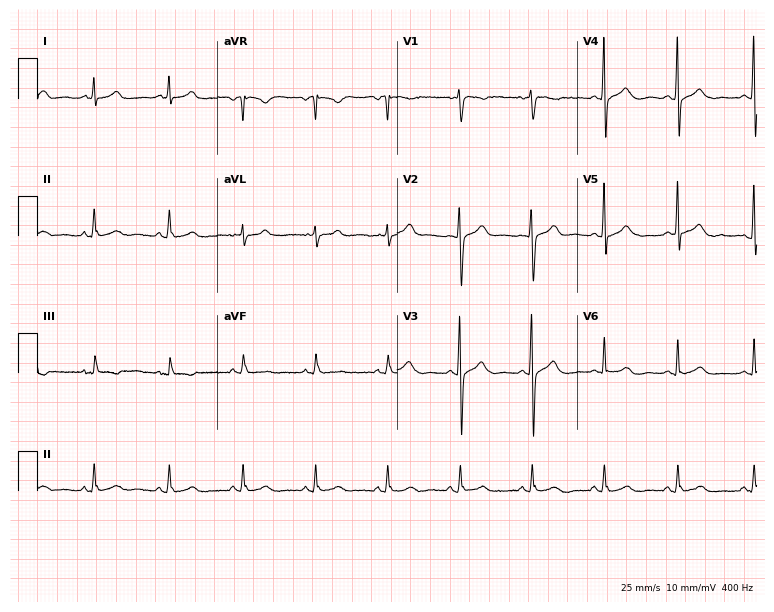
12-lead ECG from a 29-year-old female. Recorded interpretation: within normal limits.